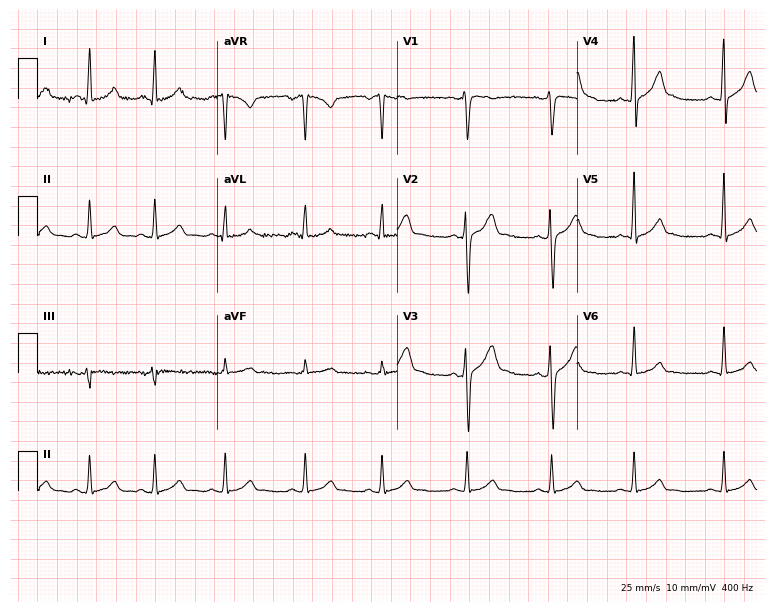
12-lead ECG from a male patient, 17 years old. Labelled as a normal ECG.